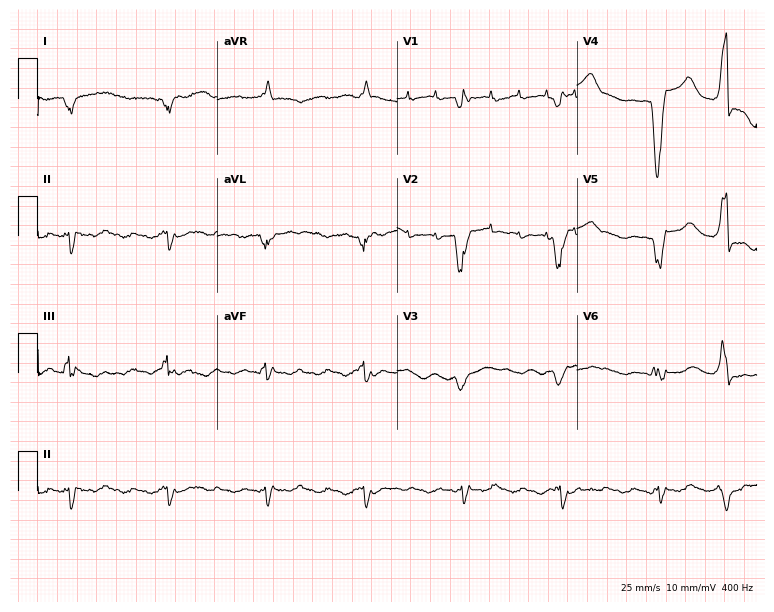
12-lead ECG from a female patient, 48 years old (7.3-second recording at 400 Hz). No first-degree AV block, right bundle branch block, left bundle branch block, sinus bradycardia, atrial fibrillation or sinus tachycardia recorded for this tracing. Findings outside these six are not listed.